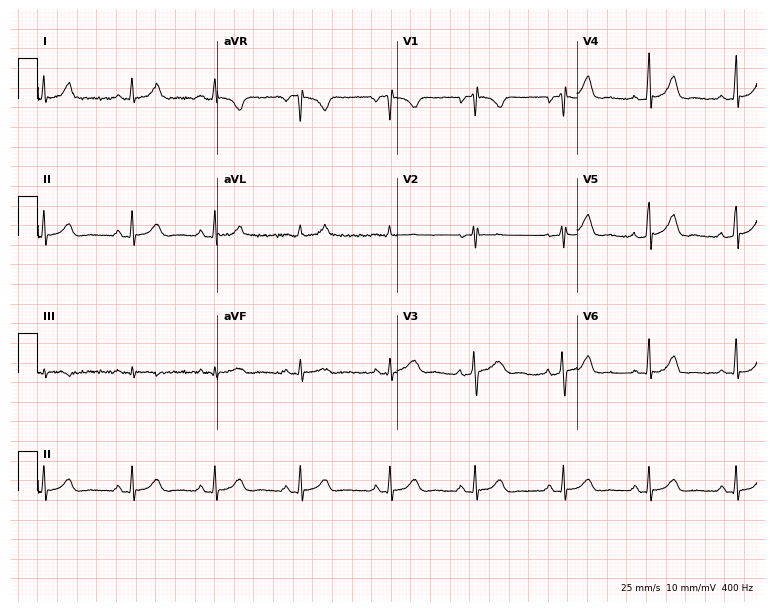
12-lead ECG from a 36-year-old woman. No first-degree AV block, right bundle branch block, left bundle branch block, sinus bradycardia, atrial fibrillation or sinus tachycardia recorded for this tracing.